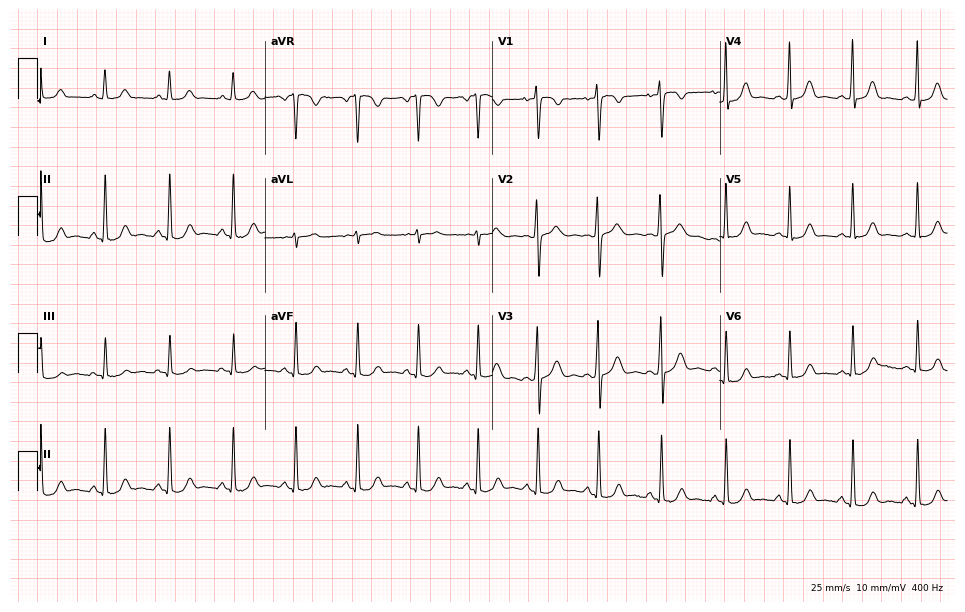
Standard 12-lead ECG recorded from a female patient, 24 years old. Read as a normal ECG.